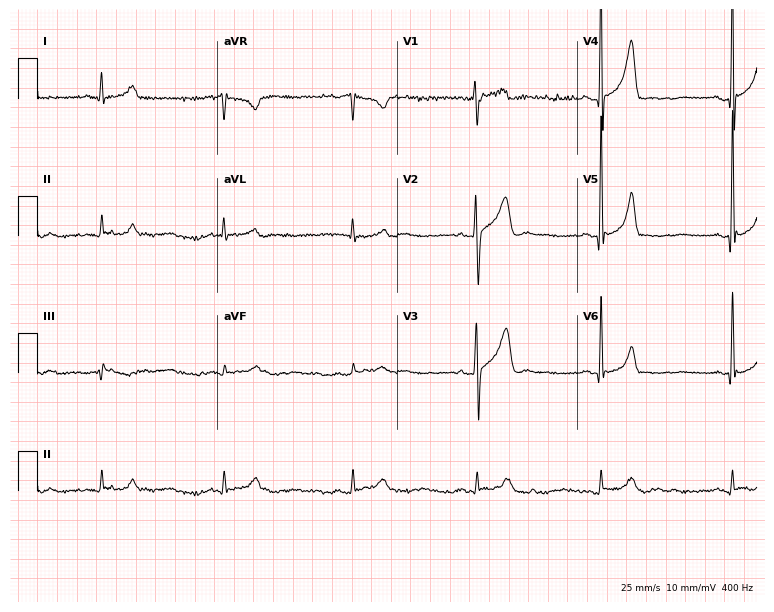
Electrocardiogram (7.3-second recording at 400 Hz), a male patient, 22 years old. Interpretation includes sinus bradycardia (a sinus rate of 50 beats per minute or less).